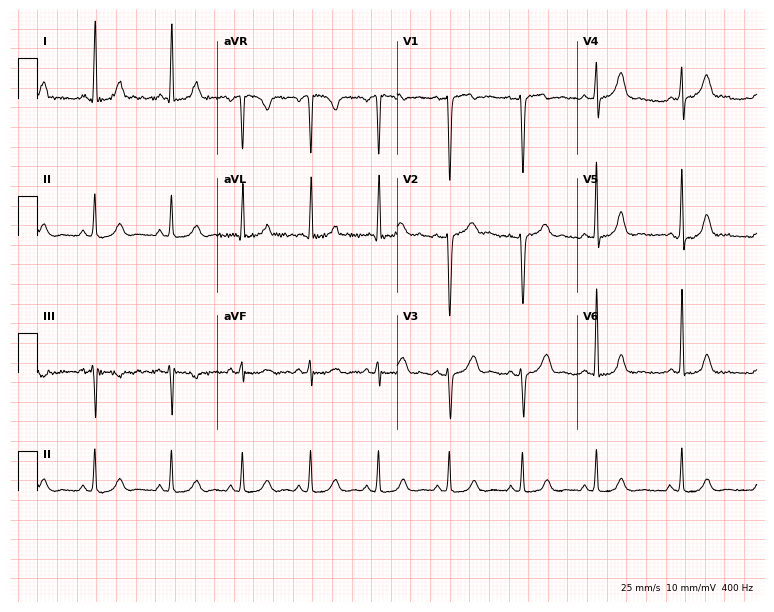
Electrocardiogram (7.3-second recording at 400 Hz), a 29-year-old female. Overall reading on record: normal ECG.